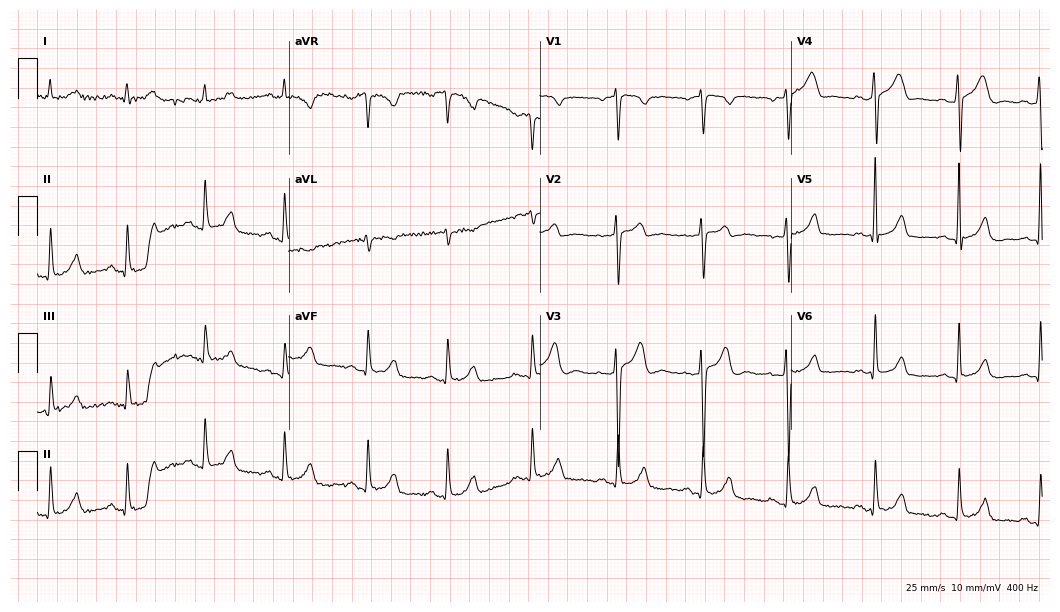
Resting 12-lead electrocardiogram. Patient: a male, 22 years old. Read as a normal ECG.